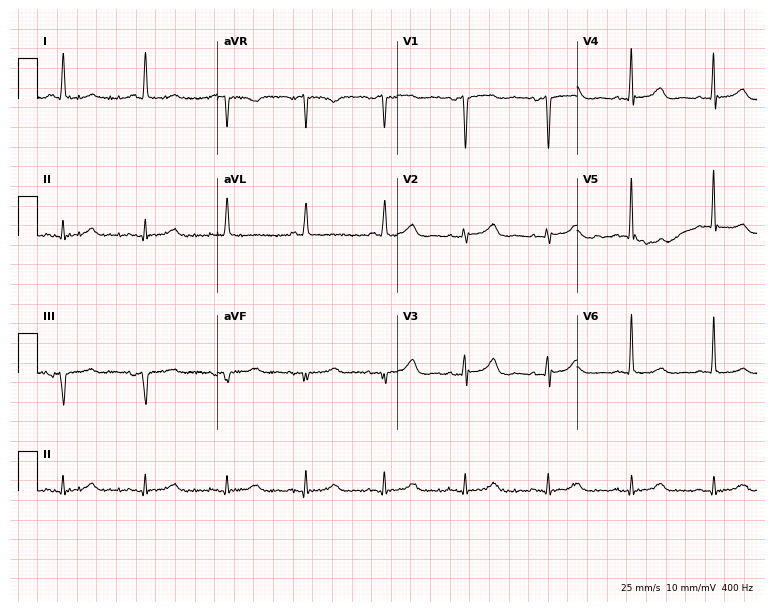
ECG (7.3-second recording at 400 Hz) — a female patient, 78 years old. Screened for six findings — first-degree AV block, right bundle branch block (RBBB), left bundle branch block (LBBB), sinus bradycardia, atrial fibrillation (AF), sinus tachycardia — none is recorded. Only these six findings were labelled.